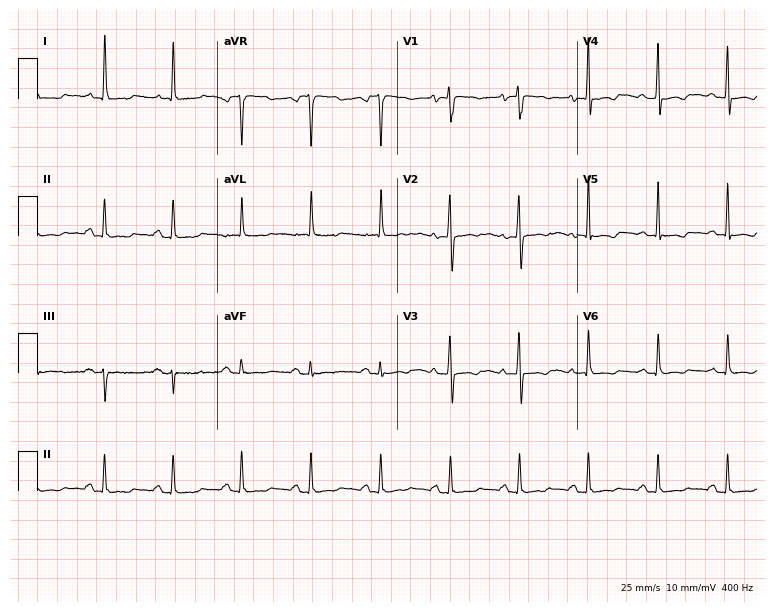
Electrocardiogram (7.3-second recording at 400 Hz), a woman, 69 years old. Of the six screened findings (first-degree AV block, right bundle branch block, left bundle branch block, sinus bradycardia, atrial fibrillation, sinus tachycardia), none is recorded. Other findings, if any, are not listed.